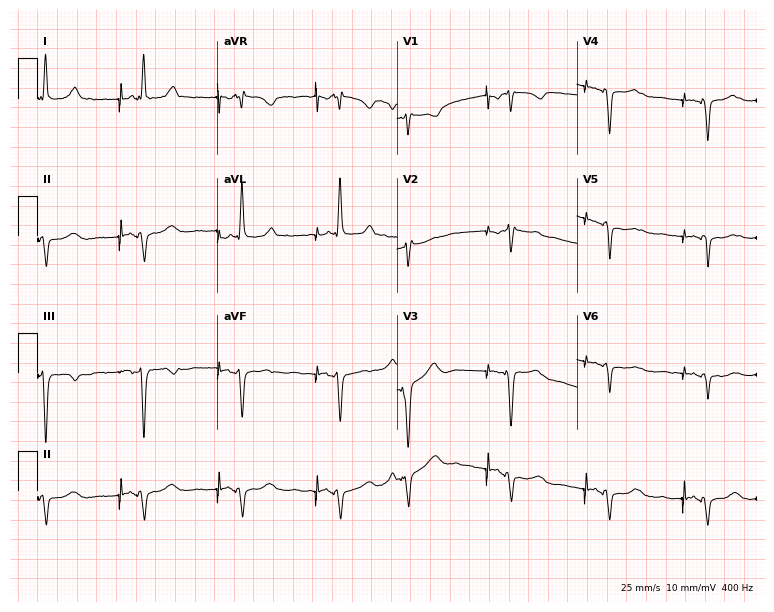
Resting 12-lead electrocardiogram. Patient: a female, 63 years old. None of these six findings is recorded: first-degree AV block, right bundle branch block, left bundle branch block, sinus bradycardia, atrial fibrillation, sinus tachycardia.